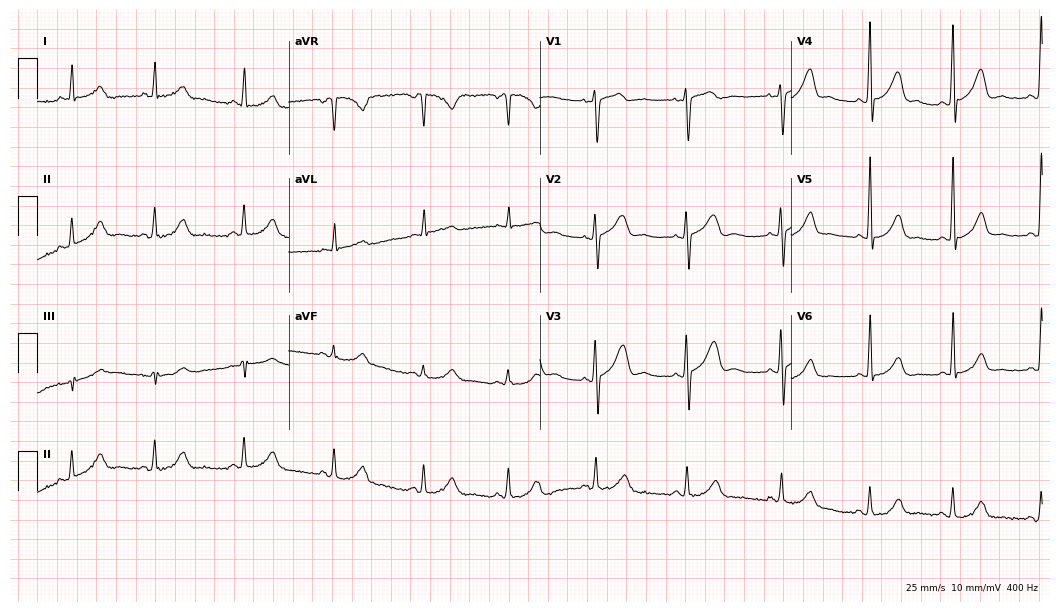
Resting 12-lead electrocardiogram (10.2-second recording at 400 Hz). Patient: a woman, 36 years old. Read as a normal ECG.